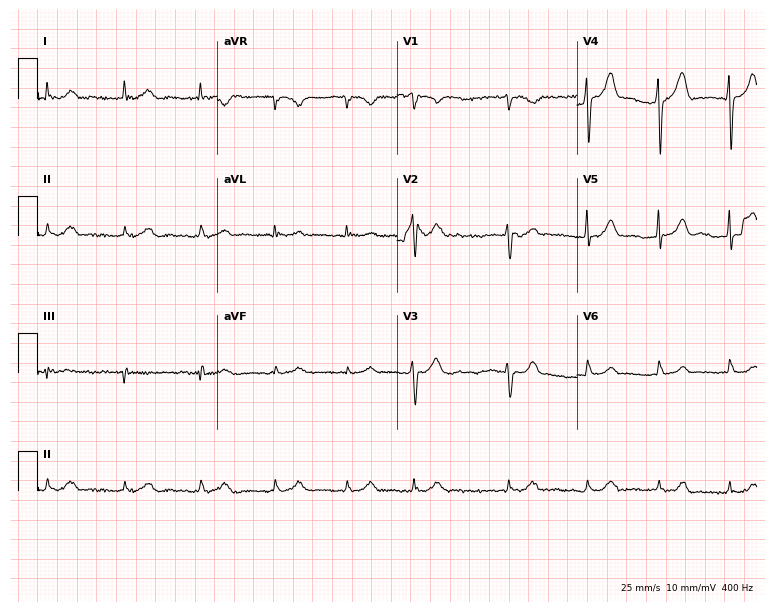
Resting 12-lead electrocardiogram. Patient: a man, 77 years old. The tracing shows atrial fibrillation.